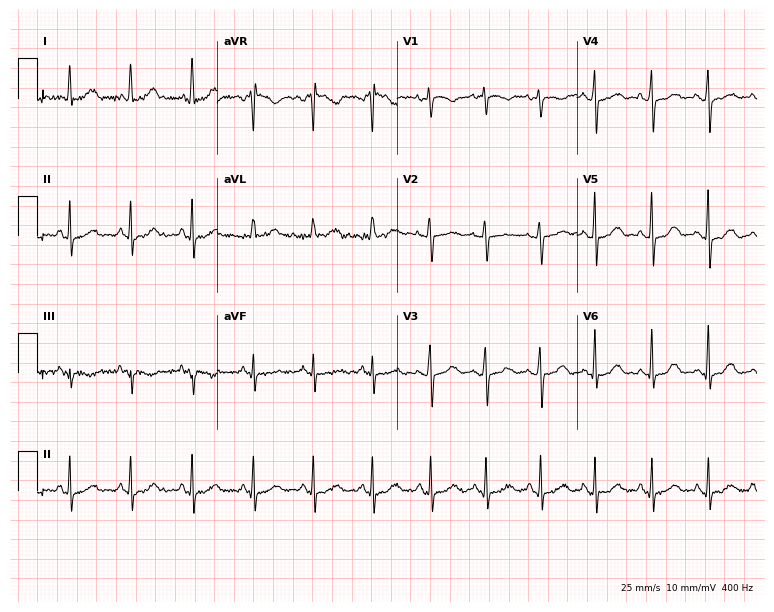
Standard 12-lead ECG recorded from a female, 49 years old (7.3-second recording at 400 Hz). None of these six findings is recorded: first-degree AV block, right bundle branch block, left bundle branch block, sinus bradycardia, atrial fibrillation, sinus tachycardia. Findings outside these six are not listed.